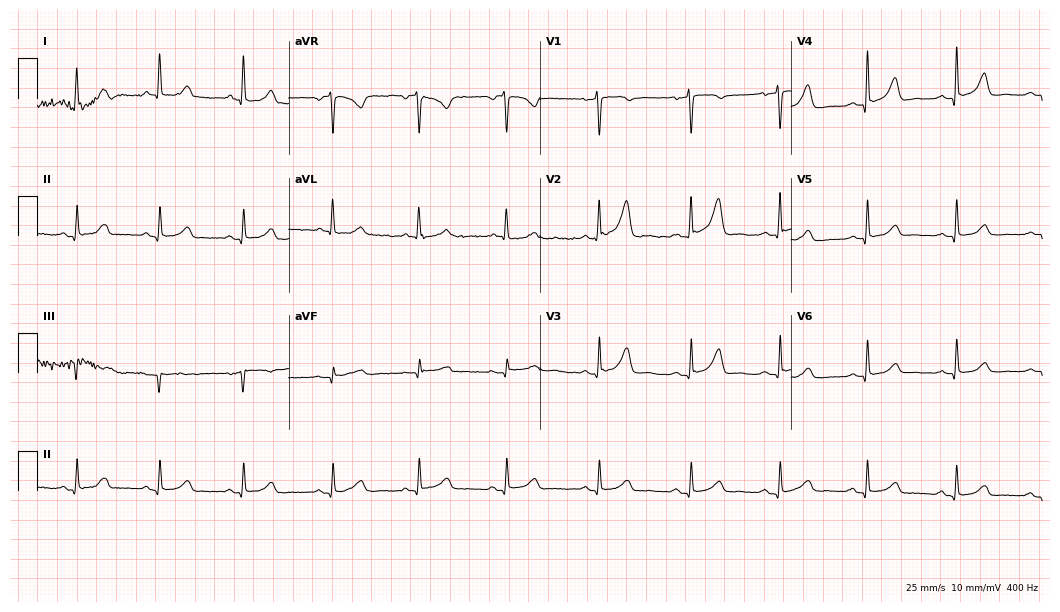
12-lead ECG from a 58-year-old female patient (10.2-second recording at 400 Hz). Recorded interpretation: within normal limits.